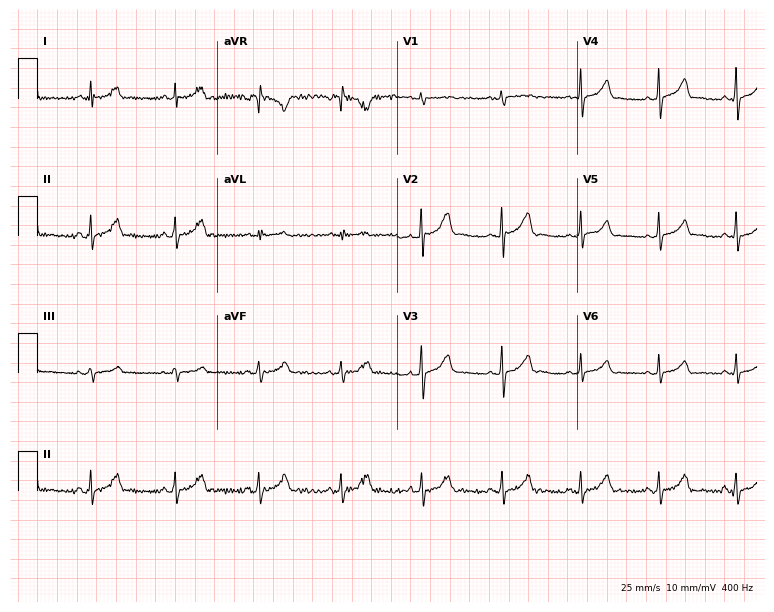
Standard 12-lead ECG recorded from a female, 26 years old. Read as a normal ECG.